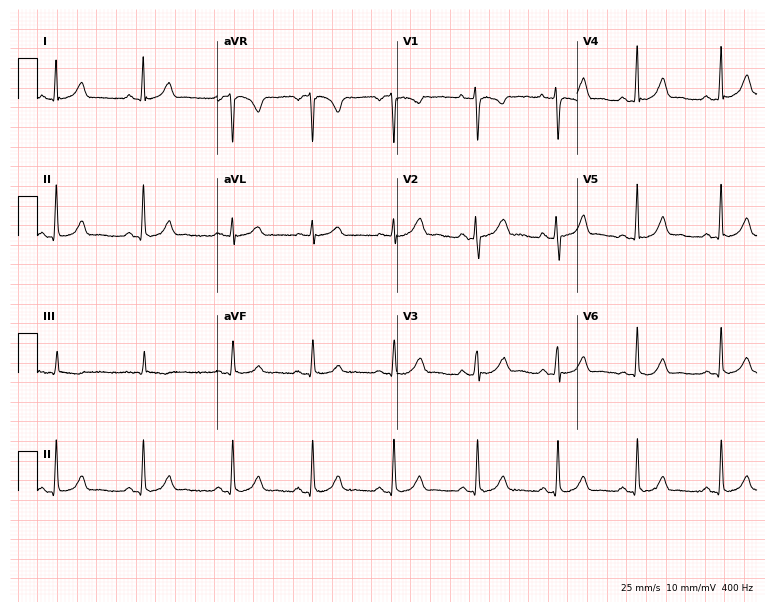
Resting 12-lead electrocardiogram. Patient: a 32-year-old woman. Read as a normal ECG.